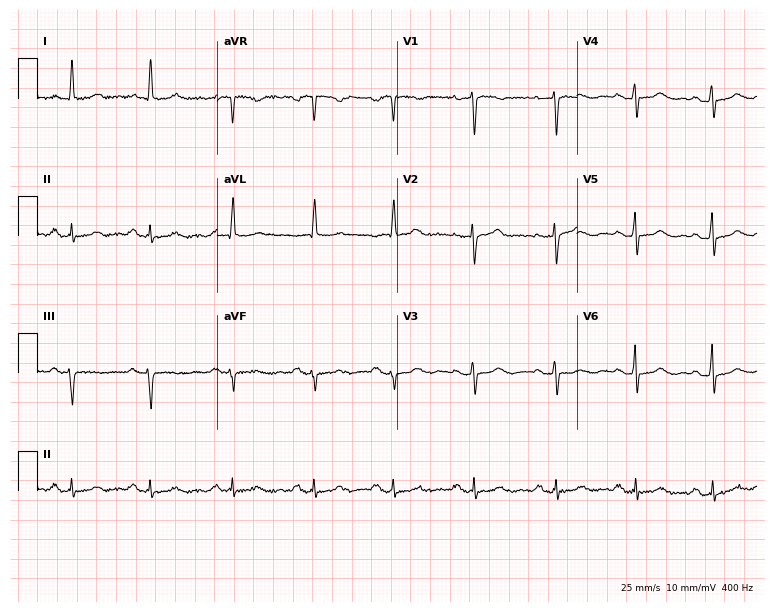
ECG — a 69-year-old woman. Screened for six findings — first-degree AV block, right bundle branch block (RBBB), left bundle branch block (LBBB), sinus bradycardia, atrial fibrillation (AF), sinus tachycardia — none is recorded. Only these six findings were labelled.